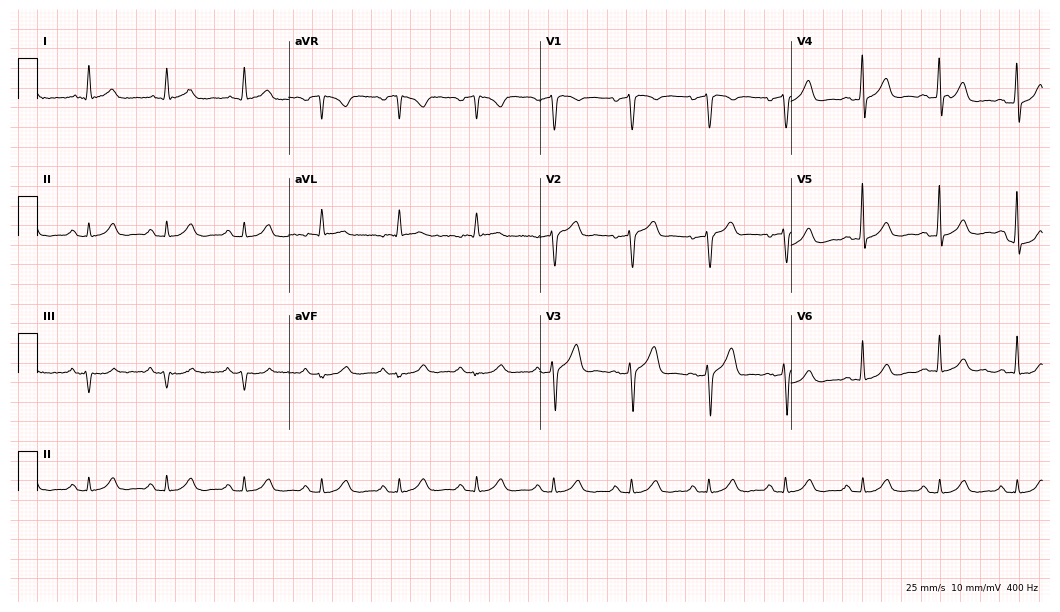
Resting 12-lead electrocardiogram (10.2-second recording at 400 Hz). Patient: a male, 69 years old. Read as a normal ECG.